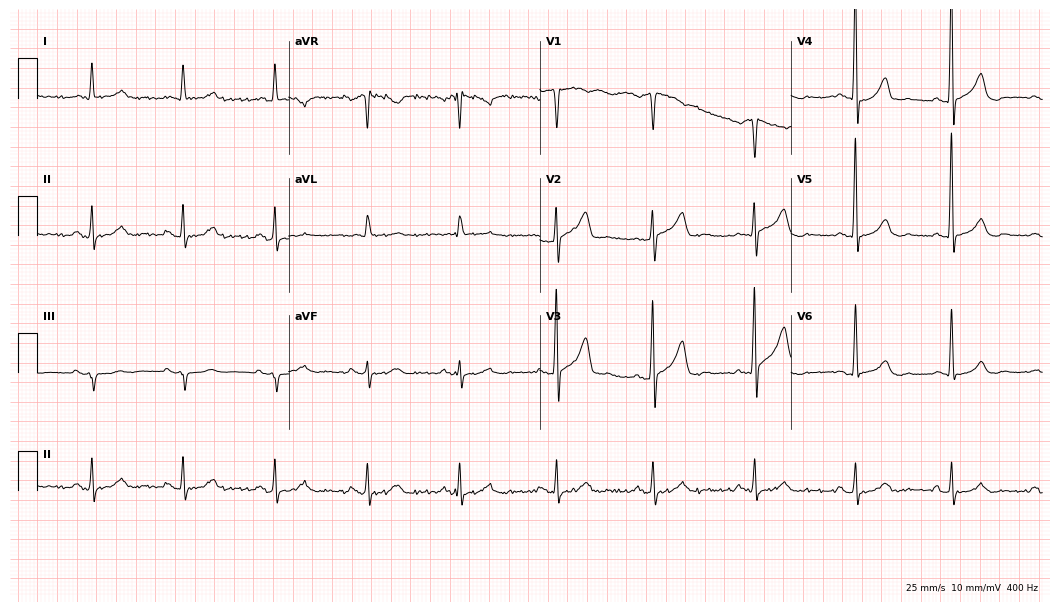
Resting 12-lead electrocardiogram. Patient: a 54-year-old male. Read as a normal ECG.